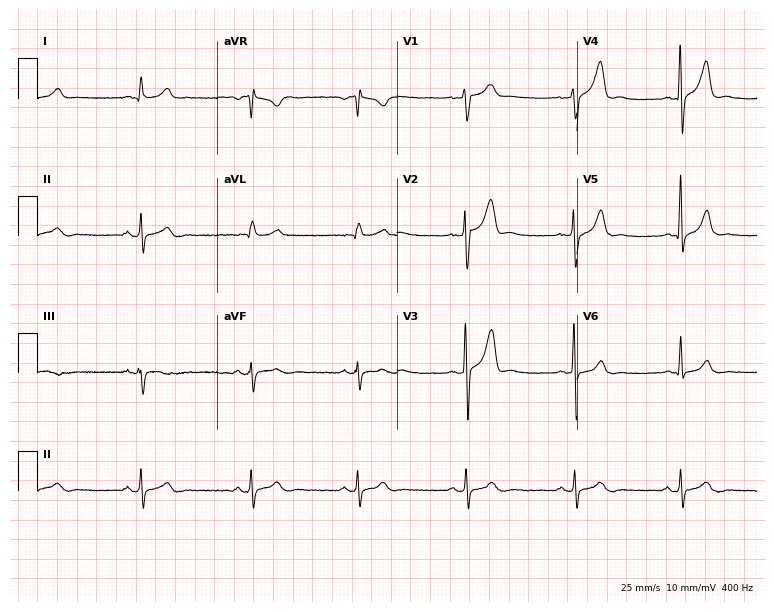
12-lead ECG from a man, 27 years old (7.3-second recording at 400 Hz). No first-degree AV block, right bundle branch block, left bundle branch block, sinus bradycardia, atrial fibrillation or sinus tachycardia recorded for this tracing. Other findings, if any, are not listed.